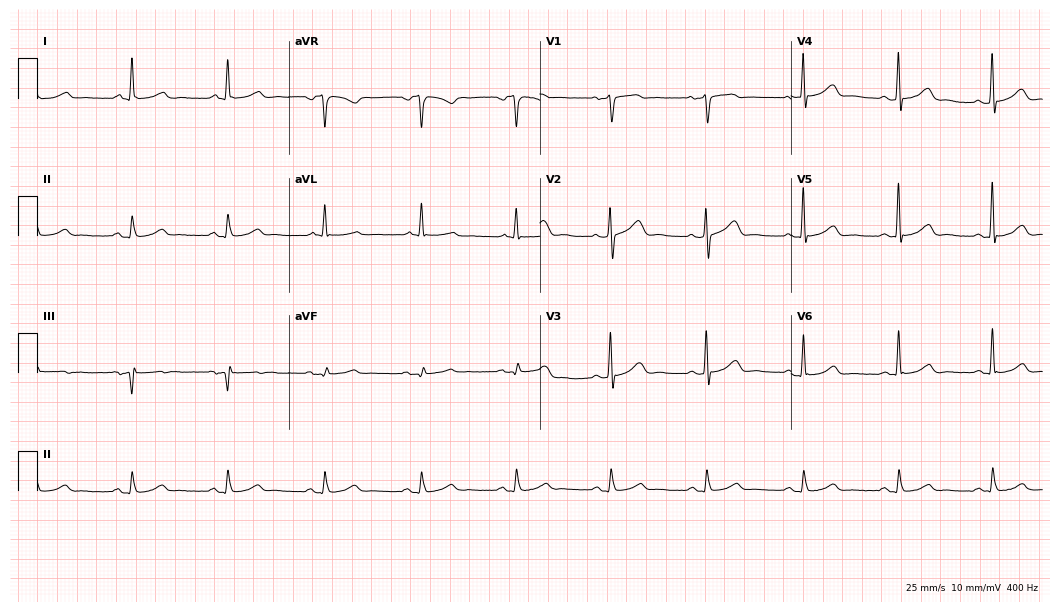
12-lead ECG from a 60-year-old female patient. Labelled as a normal ECG.